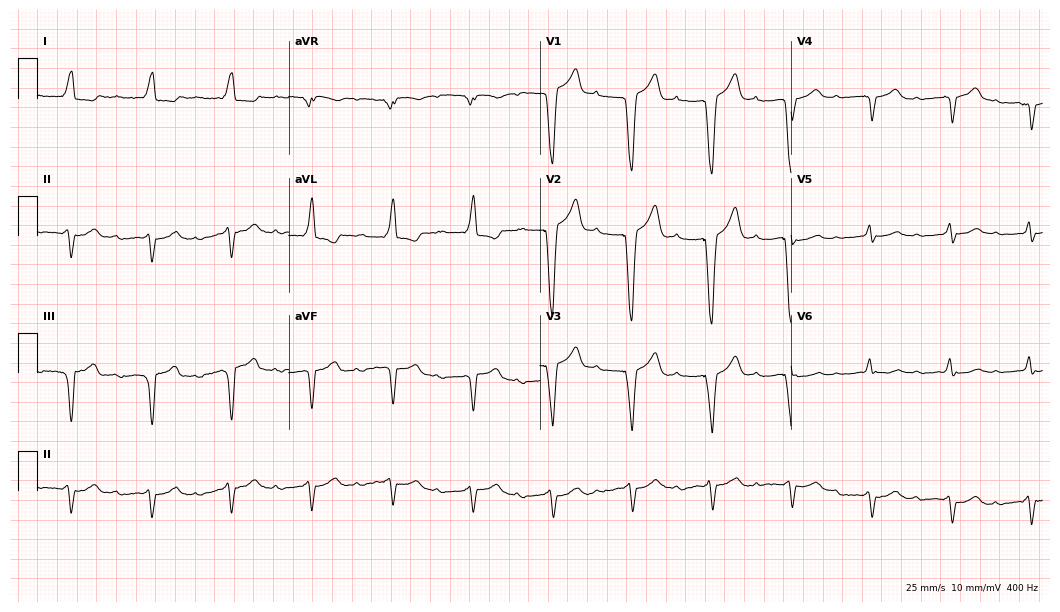
Standard 12-lead ECG recorded from a female, 84 years old (10.2-second recording at 400 Hz). The tracing shows first-degree AV block, left bundle branch block.